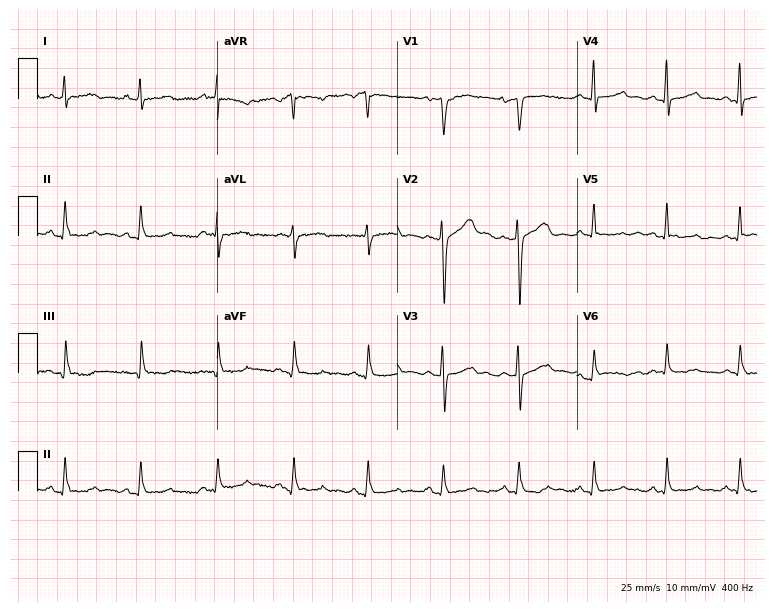
Standard 12-lead ECG recorded from a female patient, 49 years old (7.3-second recording at 400 Hz). None of these six findings is recorded: first-degree AV block, right bundle branch block (RBBB), left bundle branch block (LBBB), sinus bradycardia, atrial fibrillation (AF), sinus tachycardia. Findings outside these six are not listed.